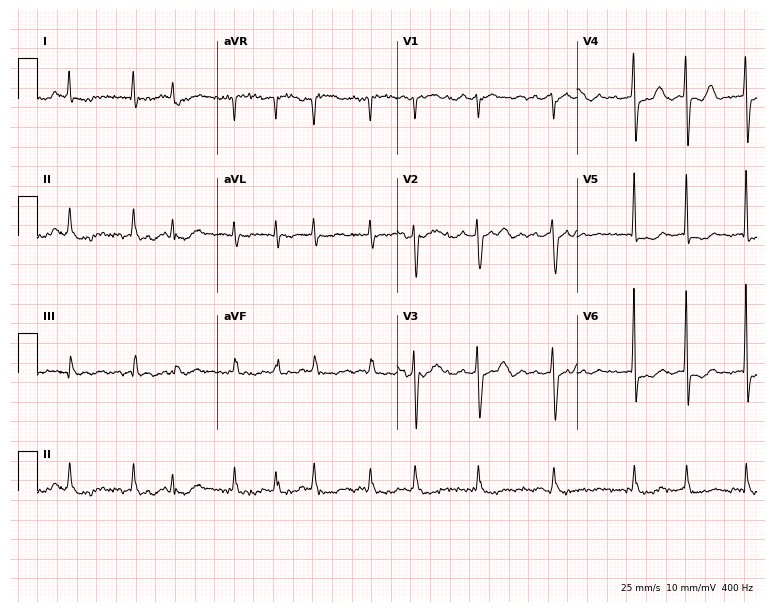
ECG (7.3-second recording at 400 Hz) — an 83-year-old female. Findings include atrial fibrillation.